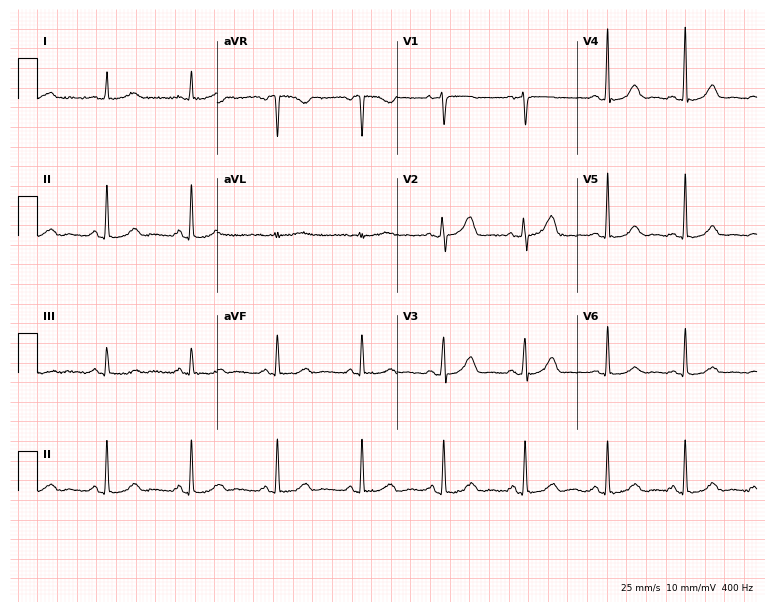
12-lead ECG from a 50-year-old female patient. Labelled as a normal ECG.